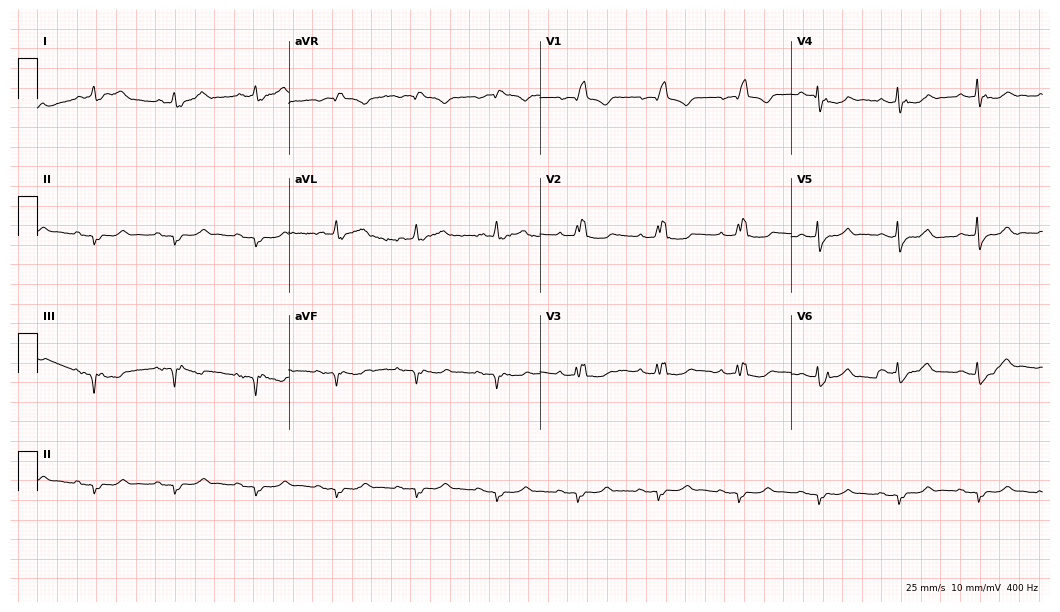
12-lead ECG from a man, 78 years old. Findings include right bundle branch block.